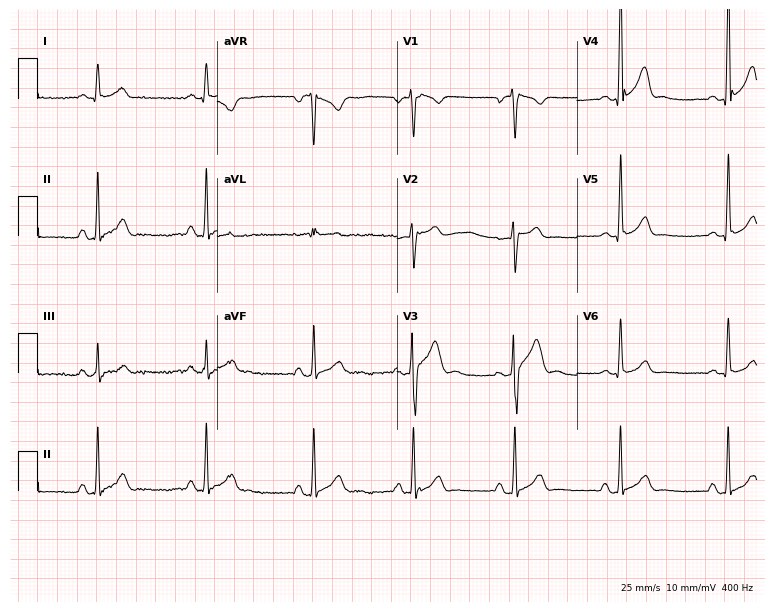
Standard 12-lead ECG recorded from a male patient, 38 years old (7.3-second recording at 400 Hz). Read as a normal ECG.